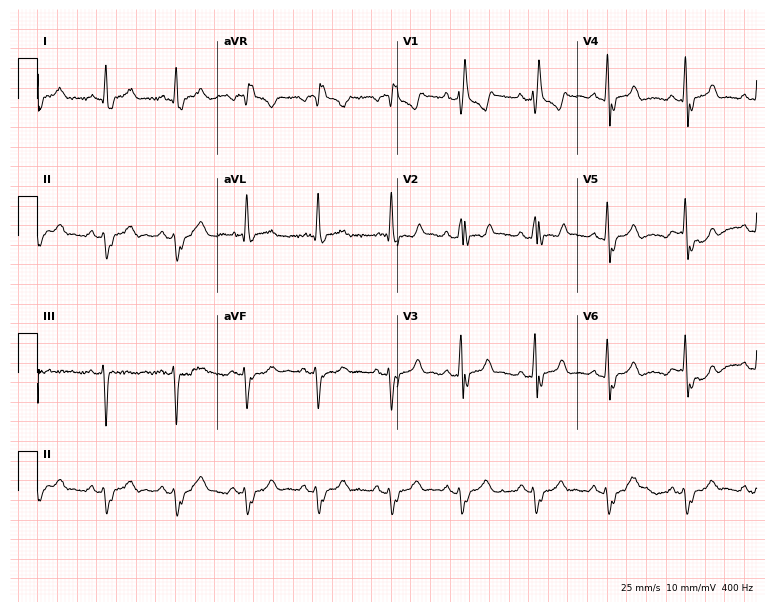
ECG (7.3-second recording at 400 Hz) — a male patient, 77 years old. Screened for six findings — first-degree AV block, right bundle branch block (RBBB), left bundle branch block (LBBB), sinus bradycardia, atrial fibrillation (AF), sinus tachycardia — none is recorded. Only these six findings were labelled.